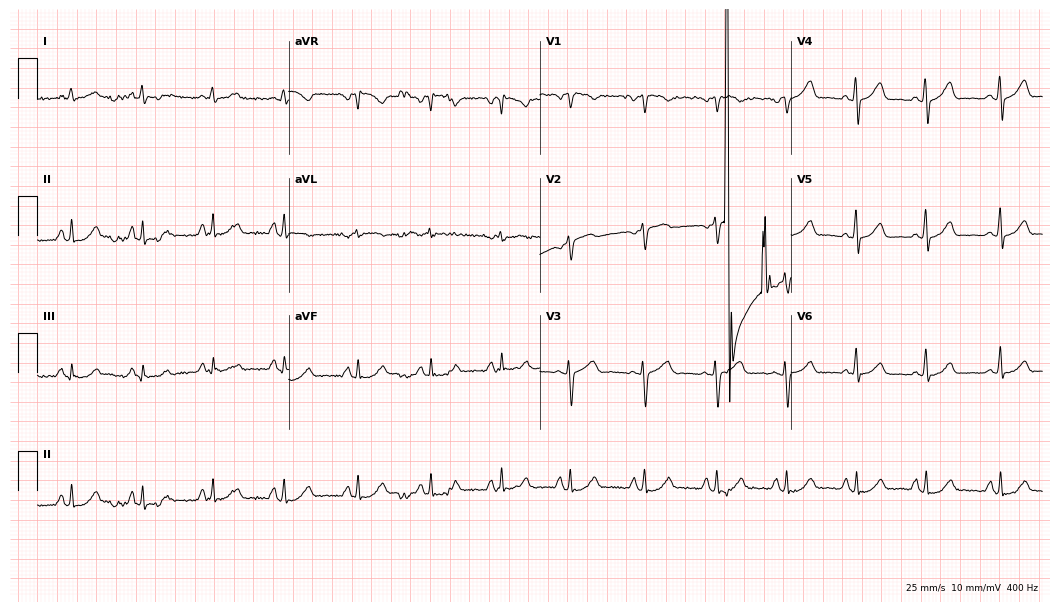
12-lead ECG from a 51-year-old female. Screened for six findings — first-degree AV block, right bundle branch block, left bundle branch block, sinus bradycardia, atrial fibrillation, sinus tachycardia — none is recorded.